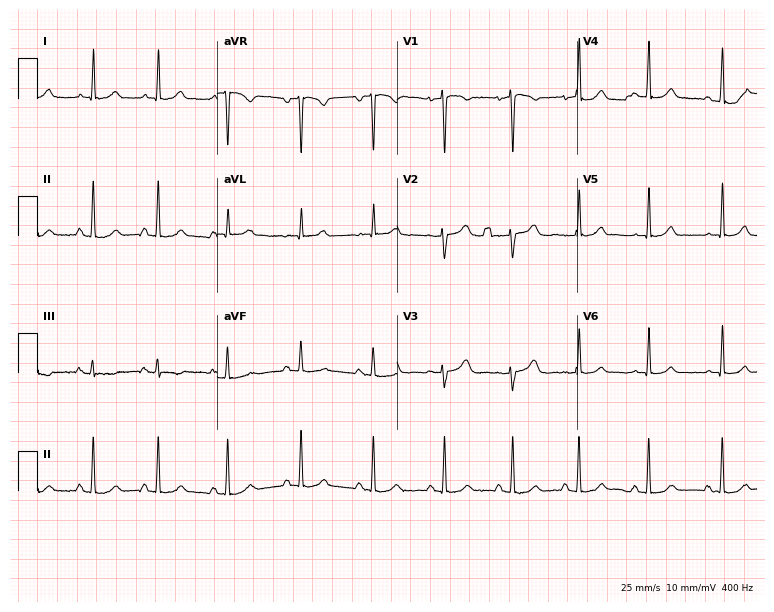
Resting 12-lead electrocardiogram (7.3-second recording at 400 Hz). Patient: a woman, 27 years old. Read as a normal ECG.